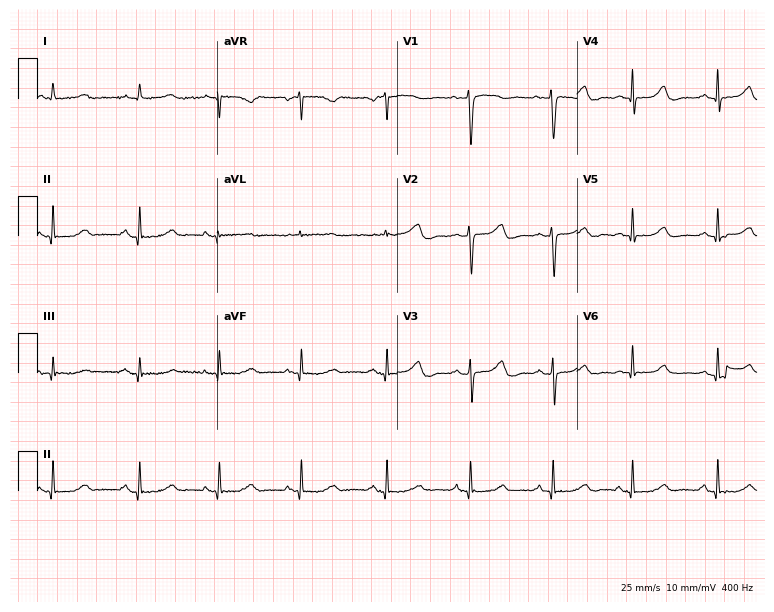
12-lead ECG from a female, 74 years old. Labelled as a normal ECG.